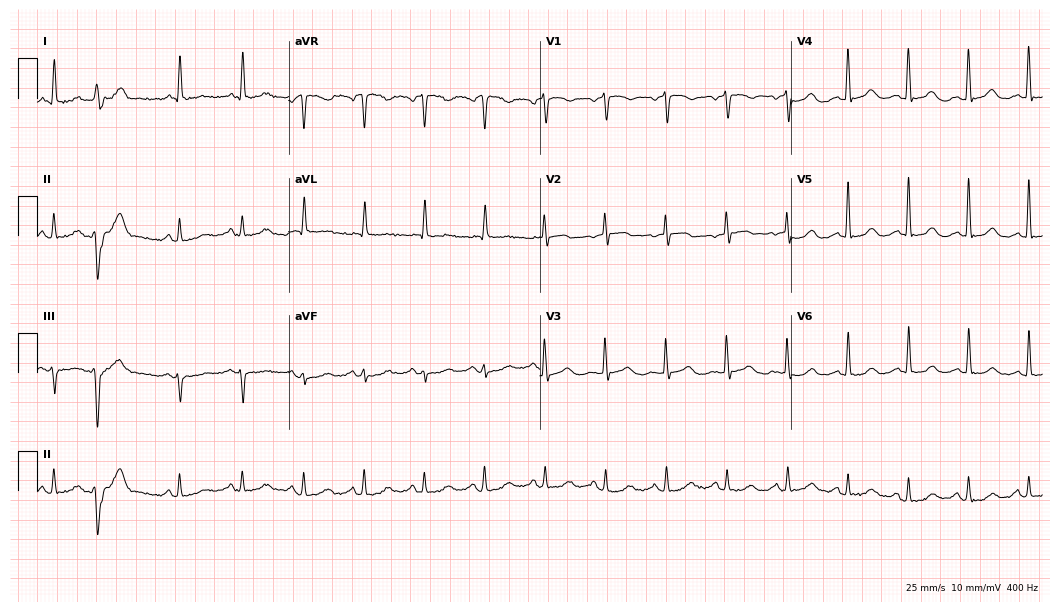
Resting 12-lead electrocardiogram. Patient: an 82-year-old woman. Read as a normal ECG.